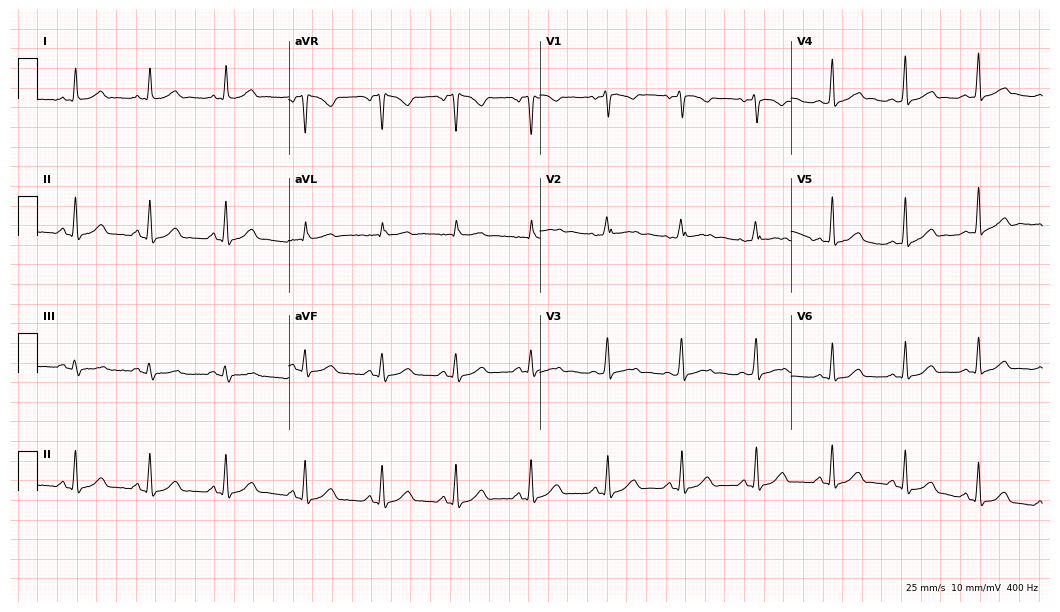
Resting 12-lead electrocardiogram. Patient: a 28-year-old female. None of these six findings is recorded: first-degree AV block, right bundle branch block, left bundle branch block, sinus bradycardia, atrial fibrillation, sinus tachycardia.